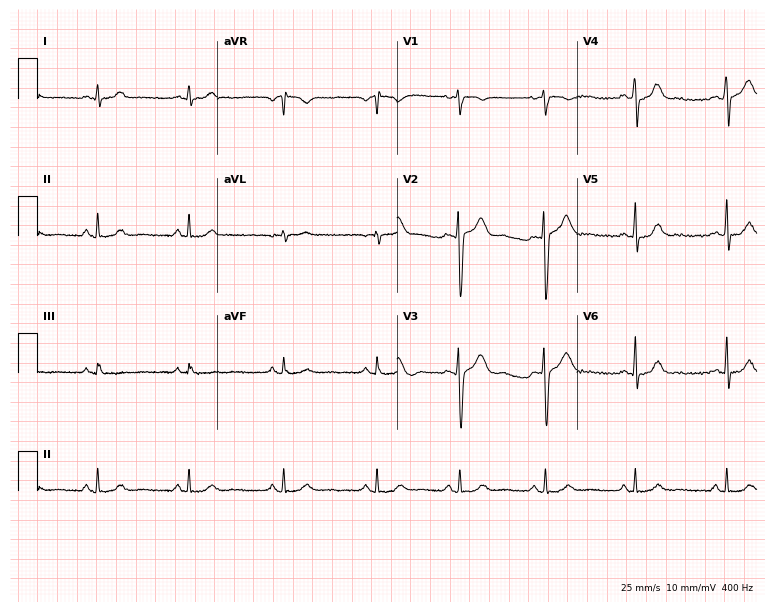
ECG (7.3-second recording at 400 Hz) — a female, 30 years old. Screened for six findings — first-degree AV block, right bundle branch block, left bundle branch block, sinus bradycardia, atrial fibrillation, sinus tachycardia — none is recorded. Findings outside these six are not listed.